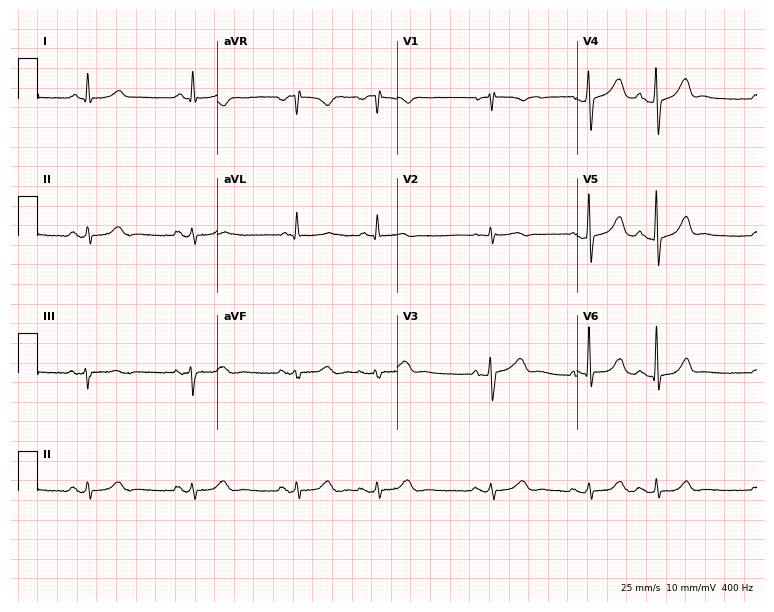
Standard 12-lead ECG recorded from a 58-year-old female patient (7.3-second recording at 400 Hz). None of these six findings is recorded: first-degree AV block, right bundle branch block, left bundle branch block, sinus bradycardia, atrial fibrillation, sinus tachycardia. Findings outside these six are not listed.